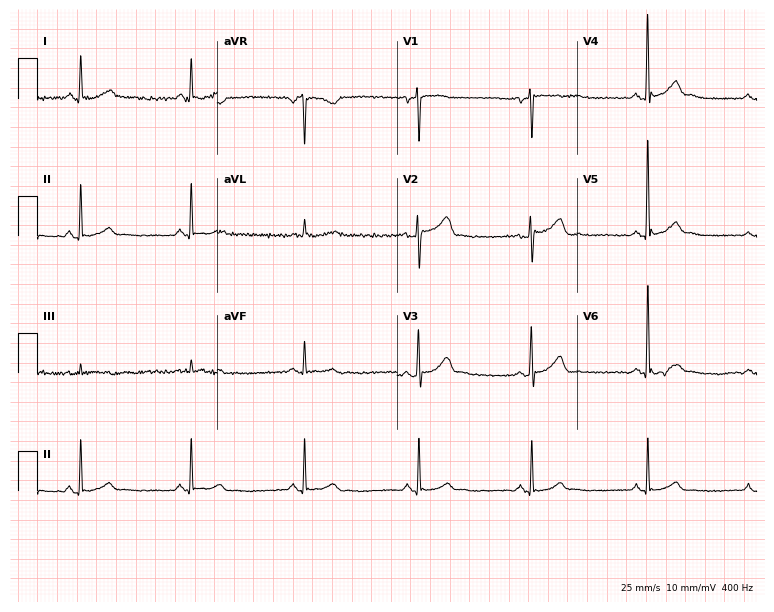
ECG — a 62-year-old male. Labelled as a normal ECG.